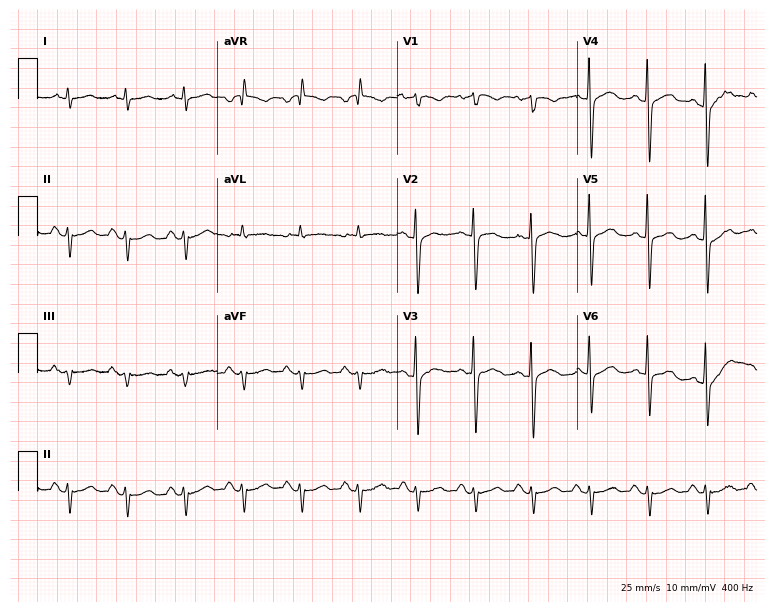
12-lead ECG from a male patient, 74 years old. Screened for six findings — first-degree AV block, right bundle branch block, left bundle branch block, sinus bradycardia, atrial fibrillation, sinus tachycardia — none is recorded.